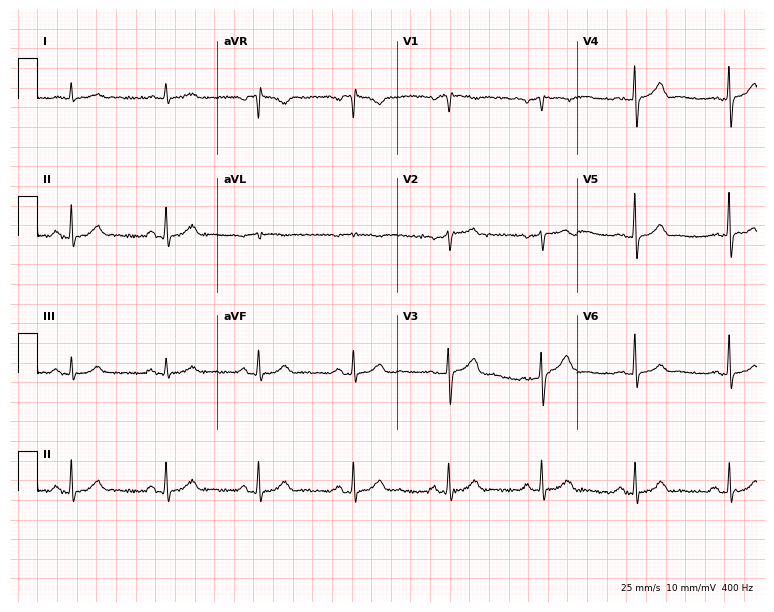
Standard 12-lead ECG recorded from a 62-year-old male (7.3-second recording at 400 Hz). None of these six findings is recorded: first-degree AV block, right bundle branch block, left bundle branch block, sinus bradycardia, atrial fibrillation, sinus tachycardia.